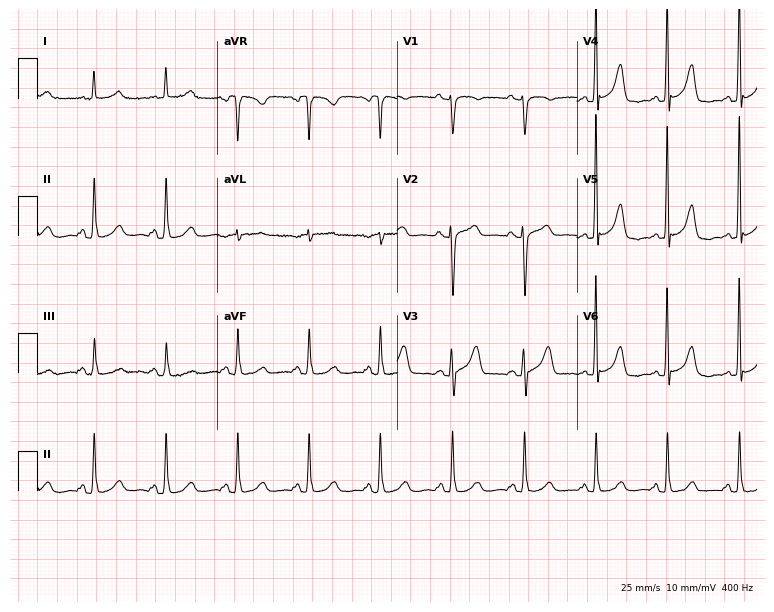
ECG — a woman, 69 years old. Screened for six findings — first-degree AV block, right bundle branch block, left bundle branch block, sinus bradycardia, atrial fibrillation, sinus tachycardia — none is recorded.